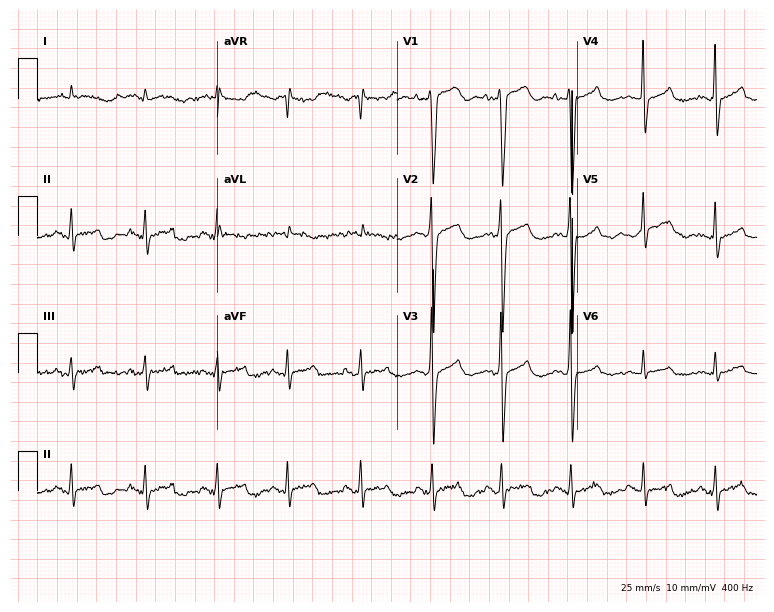
12-lead ECG from a male patient, 57 years old. Screened for six findings — first-degree AV block, right bundle branch block, left bundle branch block, sinus bradycardia, atrial fibrillation, sinus tachycardia — none is recorded. Other findings, if any, are not listed.